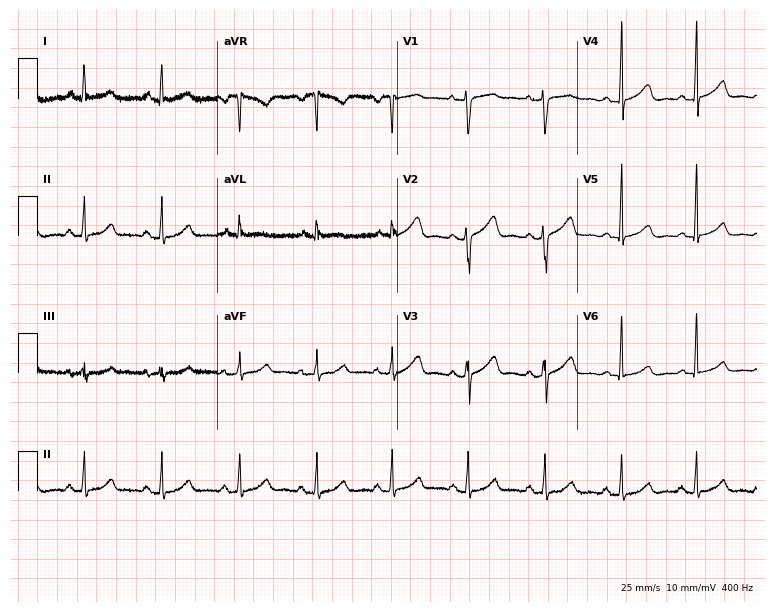
12-lead ECG from a male patient, 46 years old. Screened for six findings — first-degree AV block, right bundle branch block, left bundle branch block, sinus bradycardia, atrial fibrillation, sinus tachycardia — none is recorded. Other findings, if any, are not listed.